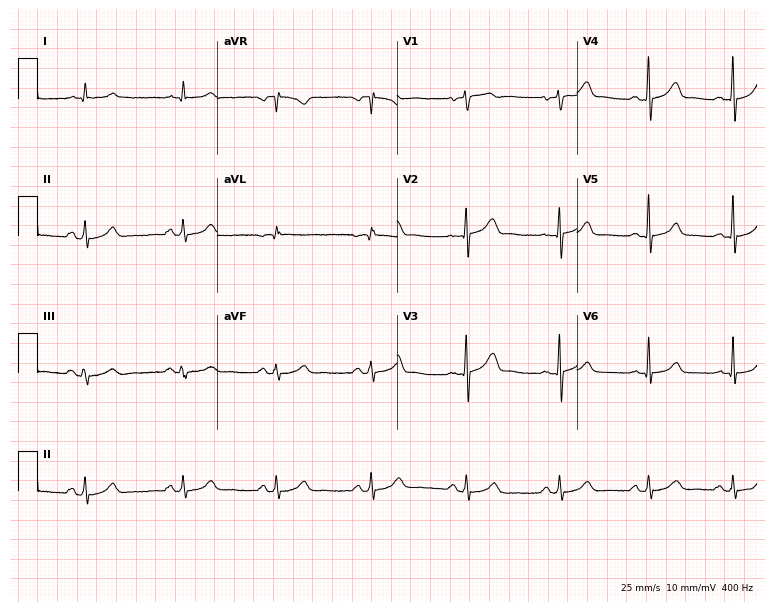
12-lead ECG from a 45-year-old male (7.3-second recording at 400 Hz). Recorded interpretation: within normal limits.